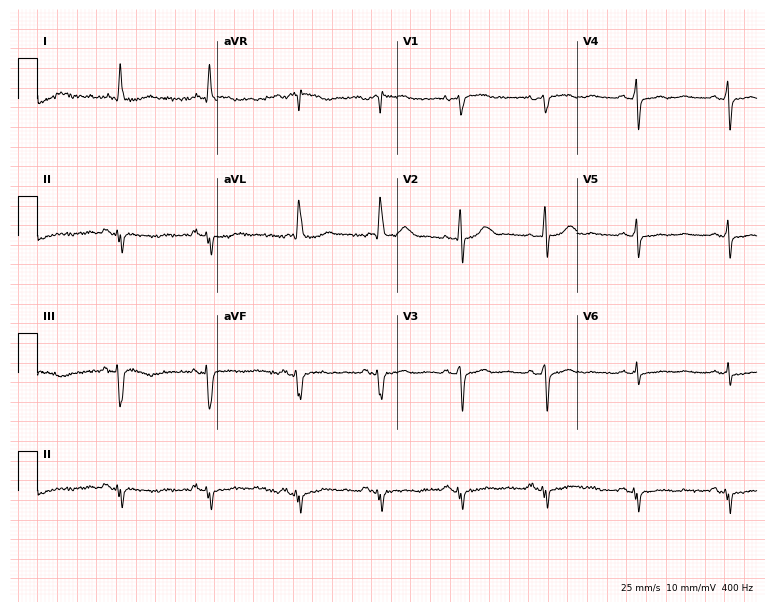
Electrocardiogram, a 72-year-old female patient. Of the six screened findings (first-degree AV block, right bundle branch block, left bundle branch block, sinus bradycardia, atrial fibrillation, sinus tachycardia), none is recorded.